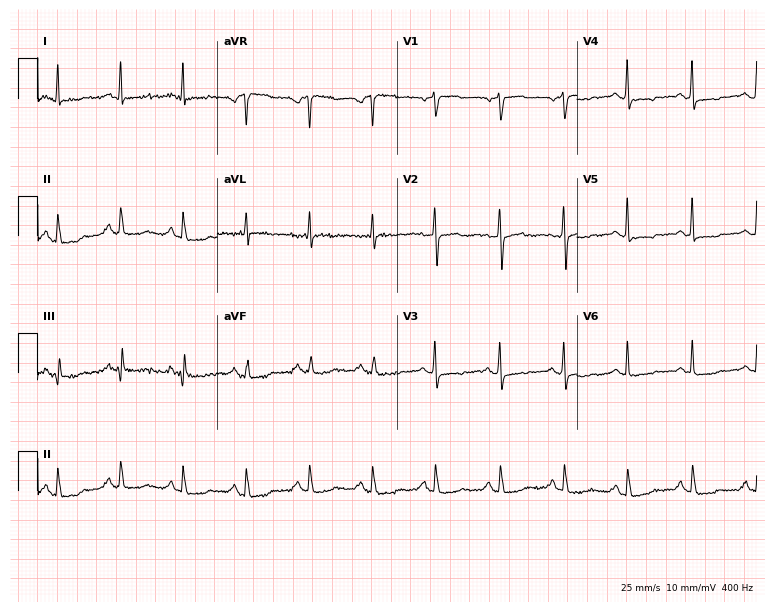
Resting 12-lead electrocardiogram. Patient: a 68-year-old woman. None of these six findings is recorded: first-degree AV block, right bundle branch block, left bundle branch block, sinus bradycardia, atrial fibrillation, sinus tachycardia.